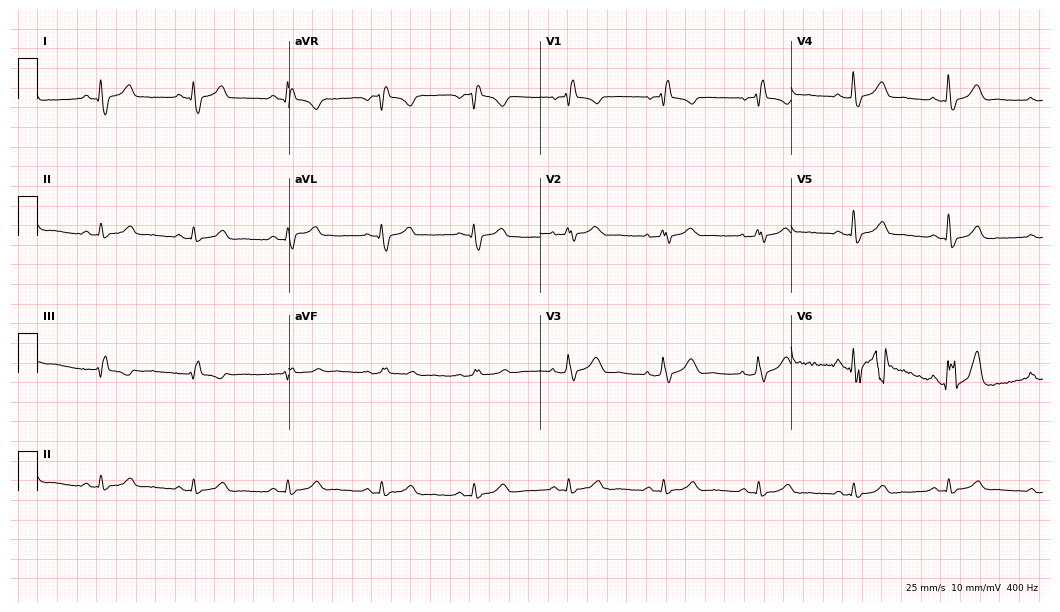
Electrocardiogram (10.2-second recording at 400 Hz), a 53-year-old woman. Interpretation includes right bundle branch block (RBBB).